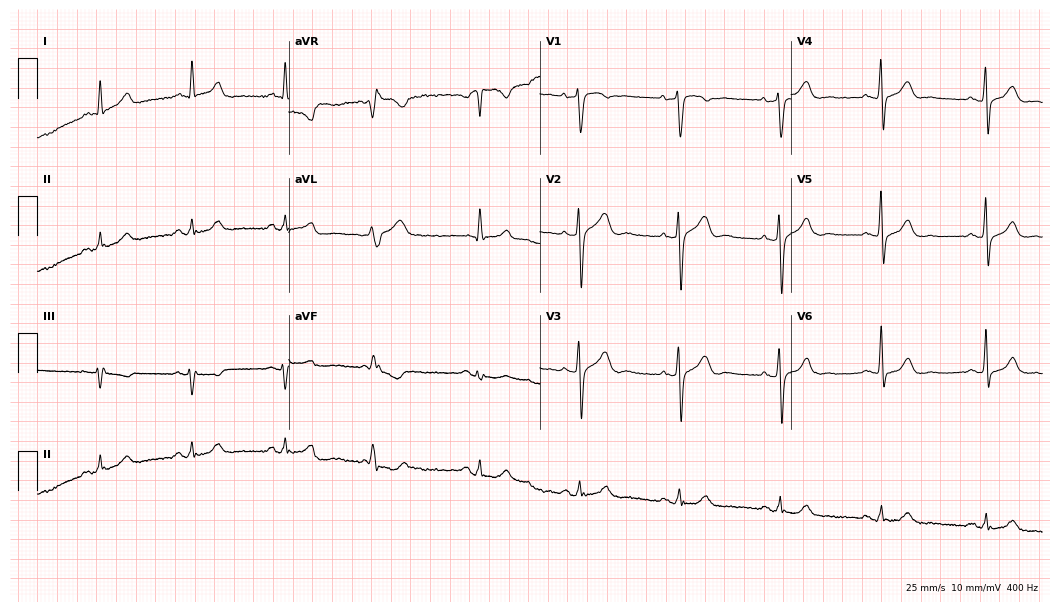
Electrocardiogram (10.2-second recording at 400 Hz), a 71-year-old male. Of the six screened findings (first-degree AV block, right bundle branch block (RBBB), left bundle branch block (LBBB), sinus bradycardia, atrial fibrillation (AF), sinus tachycardia), none is recorded. Findings outside these six are not listed.